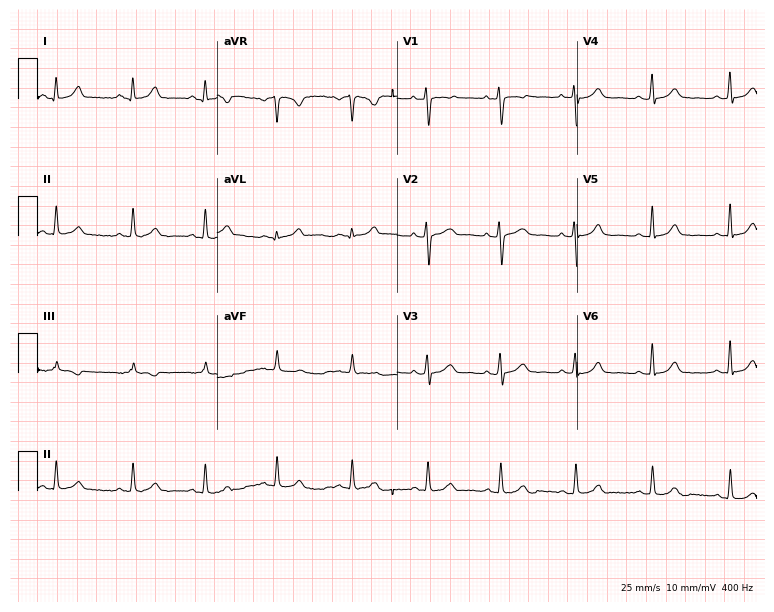
Standard 12-lead ECG recorded from a female patient, 31 years old (7.3-second recording at 400 Hz). None of these six findings is recorded: first-degree AV block, right bundle branch block, left bundle branch block, sinus bradycardia, atrial fibrillation, sinus tachycardia. Only these six findings were labelled.